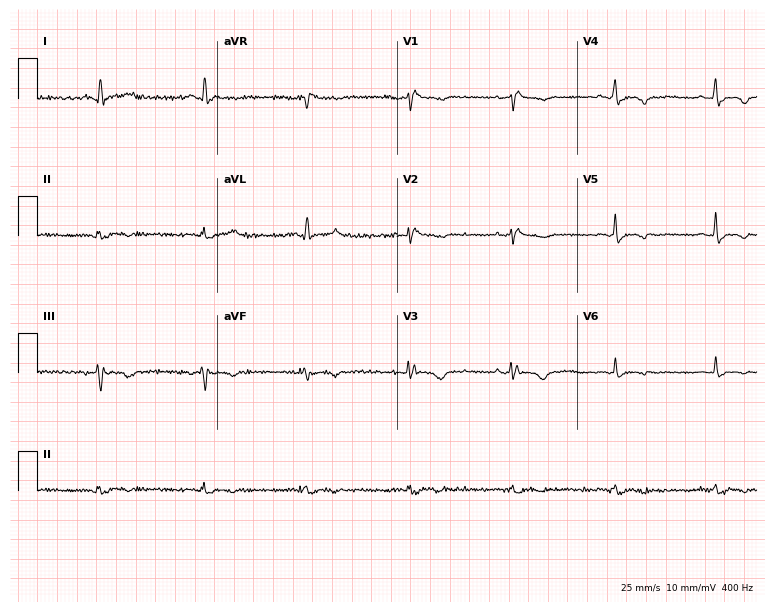
ECG (7.3-second recording at 400 Hz) — a female, 55 years old. Screened for six findings — first-degree AV block, right bundle branch block (RBBB), left bundle branch block (LBBB), sinus bradycardia, atrial fibrillation (AF), sinus tachycardia — none is recorded. Other findings, if any, are not listed.